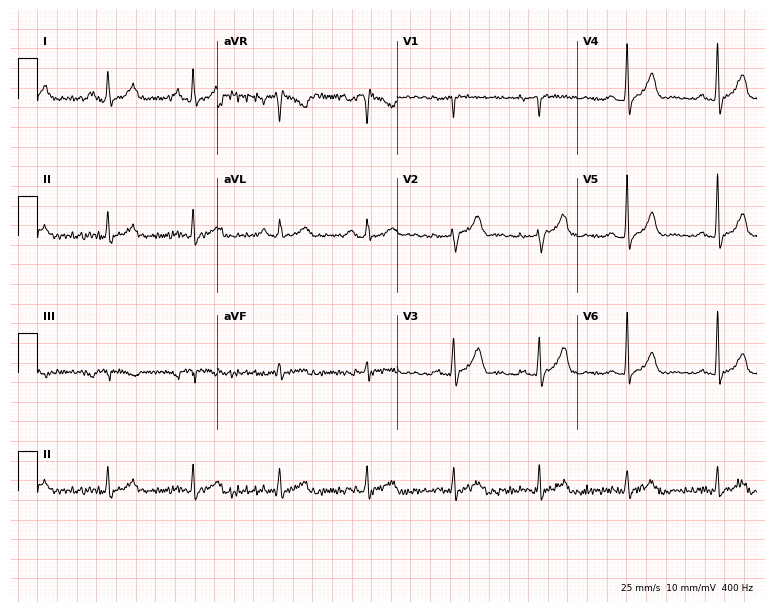
Resting 12-lead electrocardiogram (7.3-second recording at 400 Hz). Patient: a 60-year-old male. Read as a normal ECG.